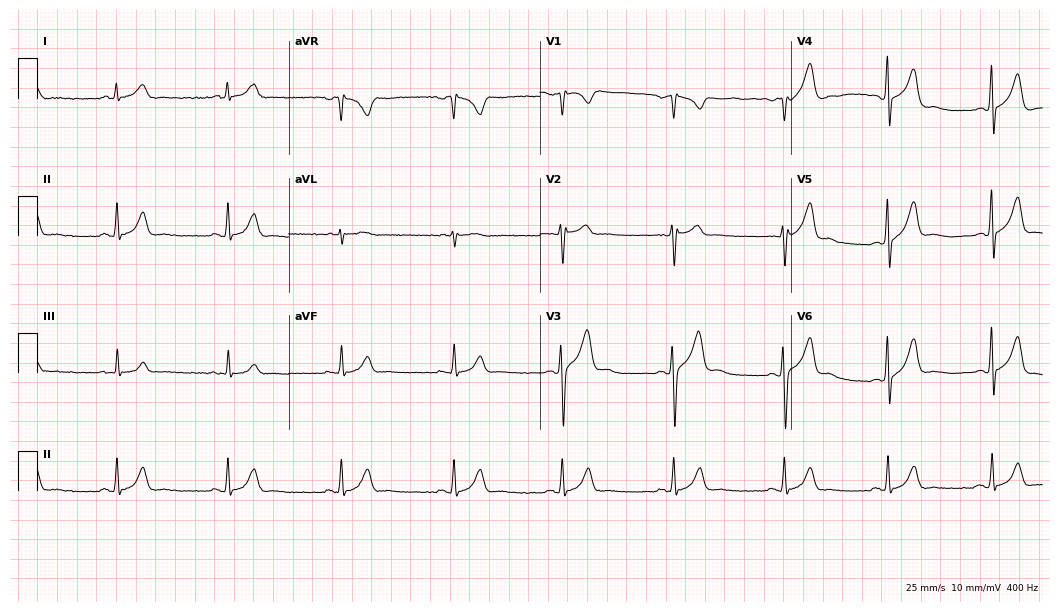
Electrocardiogram (10.2-second recording at 400 Hz), a male patient, 44 years old. Of the six screened findings (first-degree AV block, right bundle branch block (RBBB), left bundle branch block (LBBB), sinus bradycardia, atrial fibrillation (AF), sinus tachycardia), none is recorded.